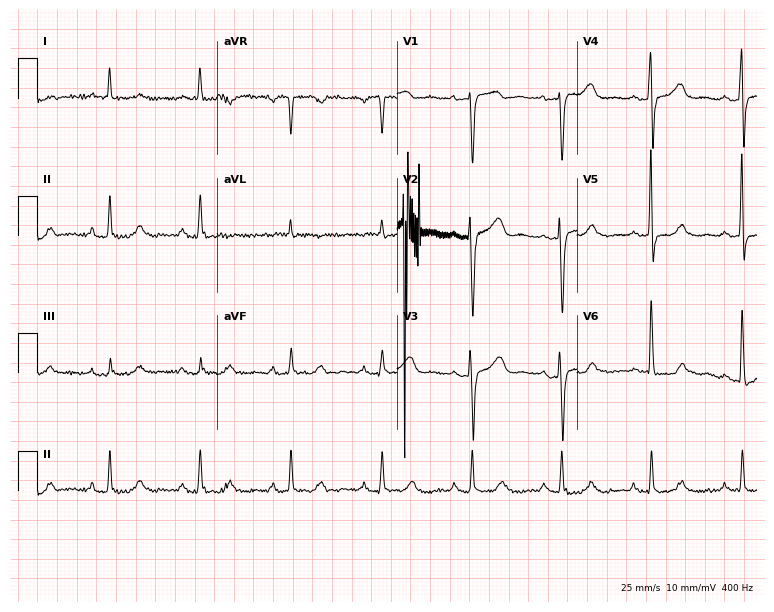
ECG — a 75-year-old woman. Screened for six findings — first-degree AV block, right bundle branch block, left bundle branch block, sinus bradycardia, atrial fibrillation, sinus tachycardia — none is recorded.